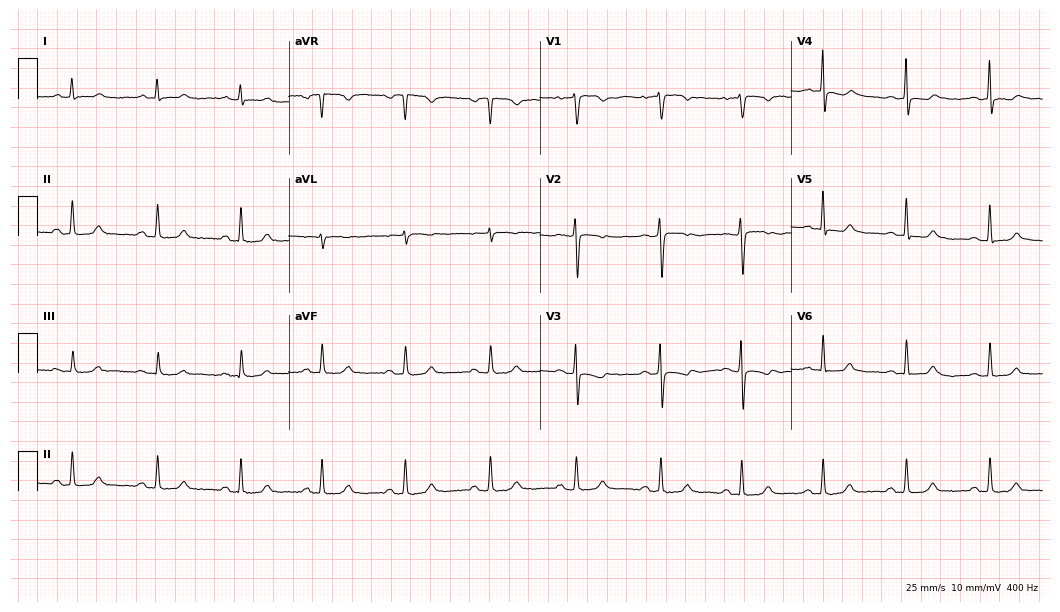
Standard 12-lead ECG recorded from a female patient, 49 years old (10.2-second recording at 400 Hz). None of these six findings is recorded: first-degree AV block, right bundle branch block, left bundle branch block, sinus bradycardia, atrial fibrillation, sinus tachycardia.